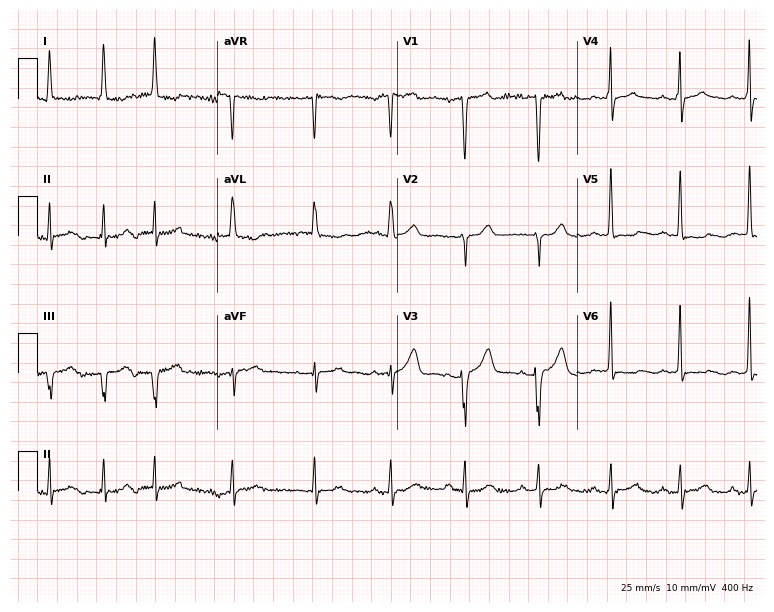
Standard 12-lead ECG recorded from a 79-year-old female (7.3-second recording at 400 Hz). None of these six findings is recorded: first-degree AV block, right bundle branch block, left bundle branch block, sinus bradycardia, atrial fibrillation, sinus tachycardia. Findings outside these six are not listed.